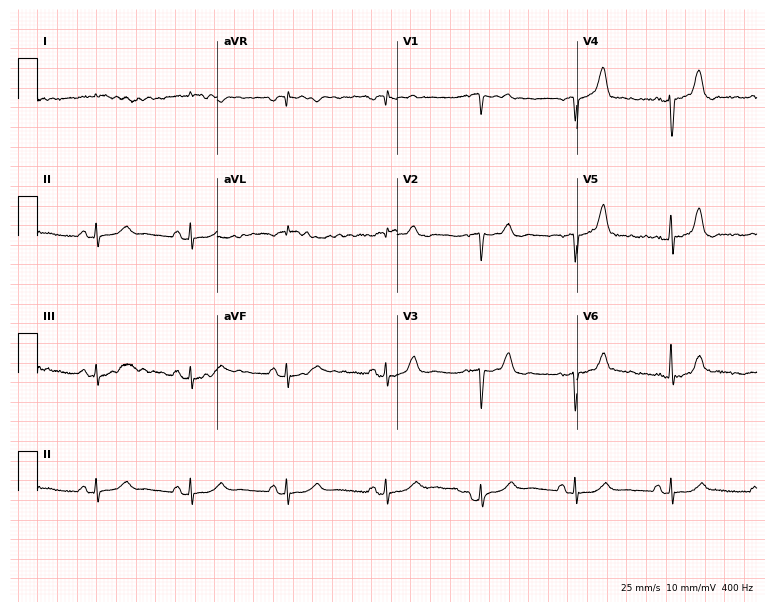
12-lead ECG from a 75-year-old male patient. No first-degree AV block, right bundle branch block, left bundle branch block, sinus bradycardia, atrial fibrillation or sinus tachycardia recorded for this tracing.